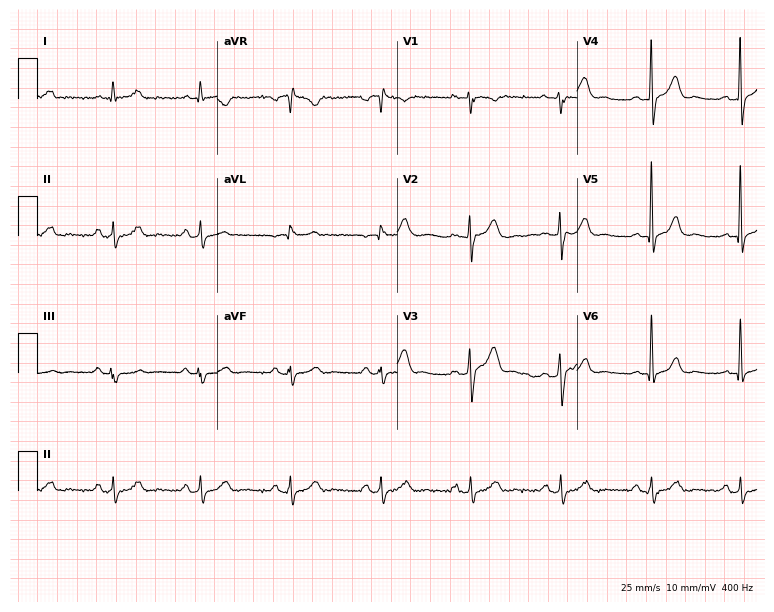
12-lead ECG from a 55-year-old man. Recorded interpretation: within normal limits.